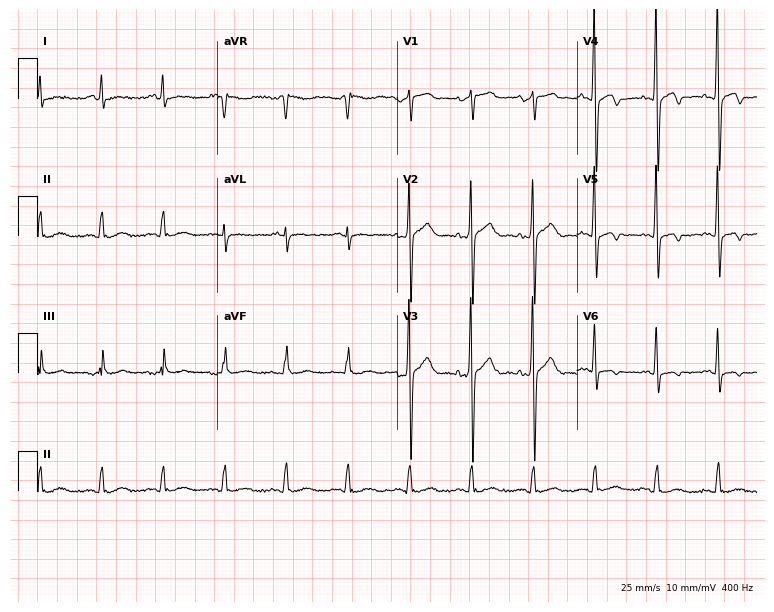
Electrocardiogram, a 51-year-old male. Of the six screened findings (first-degree AV block, right bundle branch block (RBBB), left bundle branch block (LBBB), sinus bradycardia, atrial fibrillation (AF), sinus tachycardia), none is recorded.